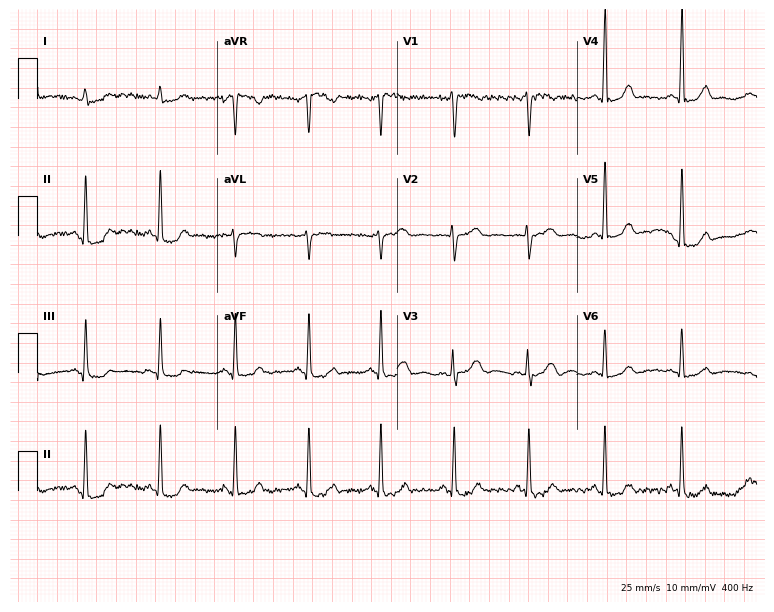
12-lead ECG (7.3-second recording at 400 Hz) from a woman, 36 years old. Labelled as a normal ECG.